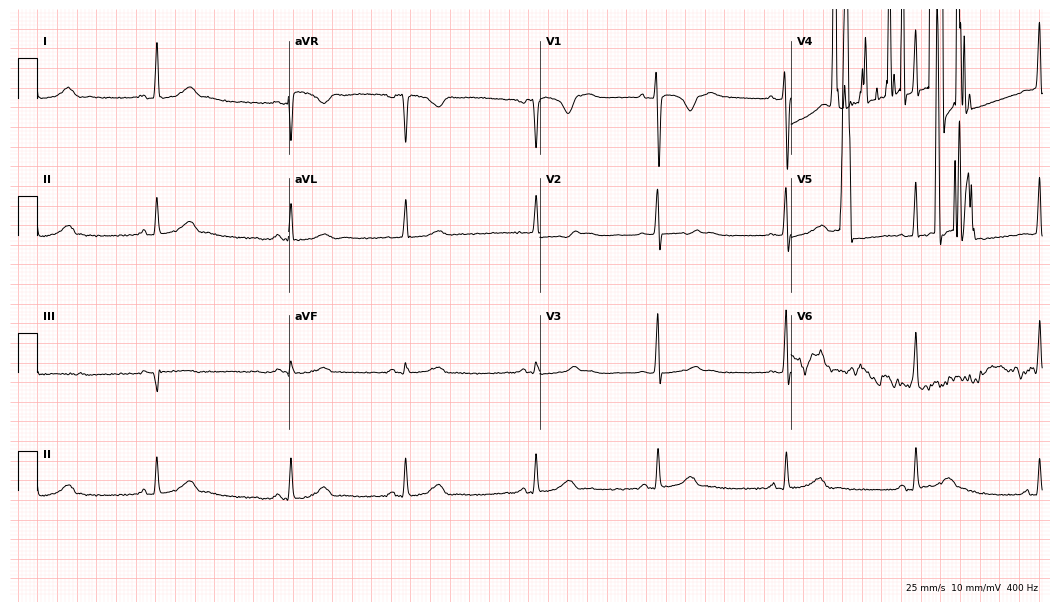
12-lead ECG (10.2-second recording at 400 Hz) from a 27-year-old female patient. Screened for six findings — first-degree AV block, right bundle branch block (RBBB), left bundle branch block (LBBB), sinus bradycardia, atrial fibrillation (AF), sinus tachycardia — none is recorded. Only these six findings were labelled.